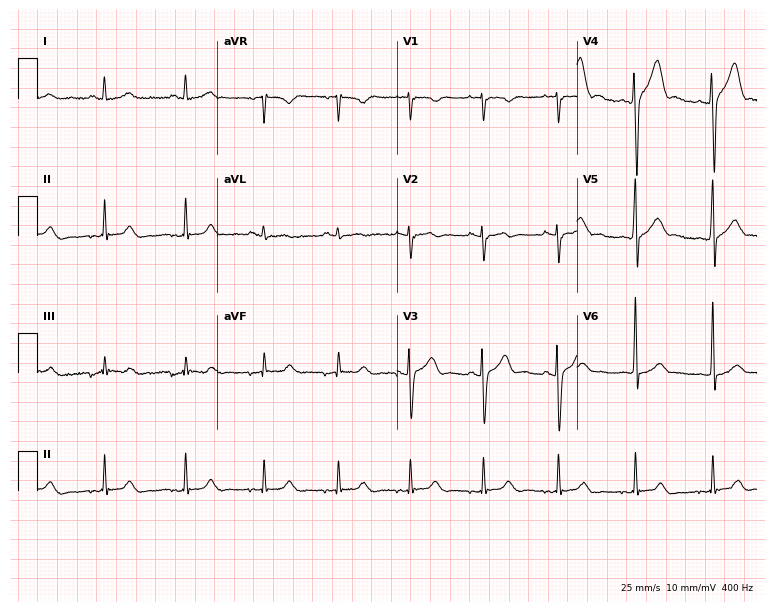
Electrocardiogram, a man, 23 years old. Of the six screened findings (first-degree AV block, right bundle branch block, left bundle branch block, sinus bradycardia, atrial fibrillation, sinus tachycardia), none is recorded.